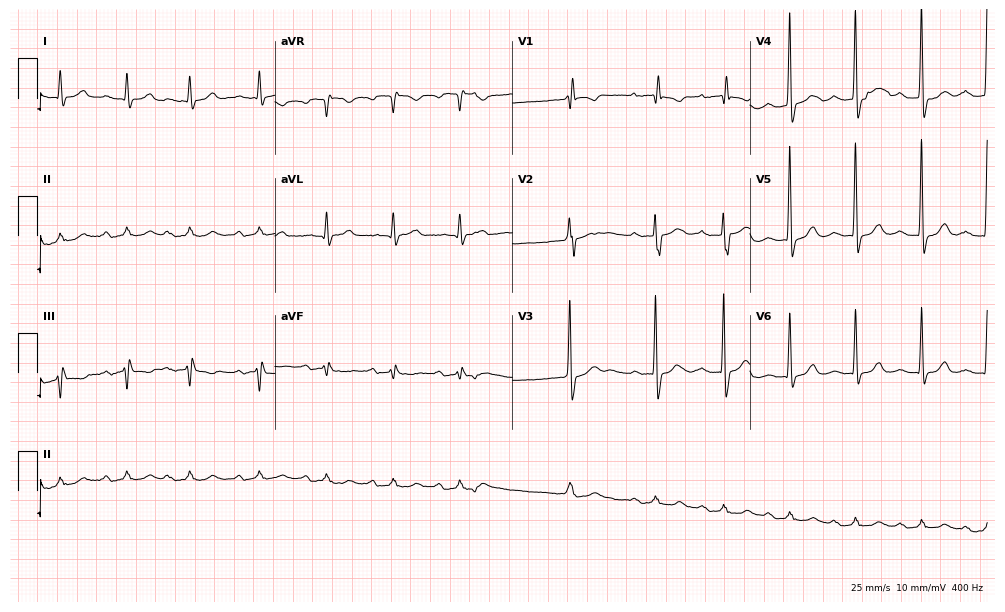
ECG — a male, 85 years old. Screened for six findings — first-degree AV block, right bundle branch block (RBBB), left bundle branch block (LBBB), sinus bradycardia, atrial fibrillation (AF), sinus tachycardia — none is recorded.